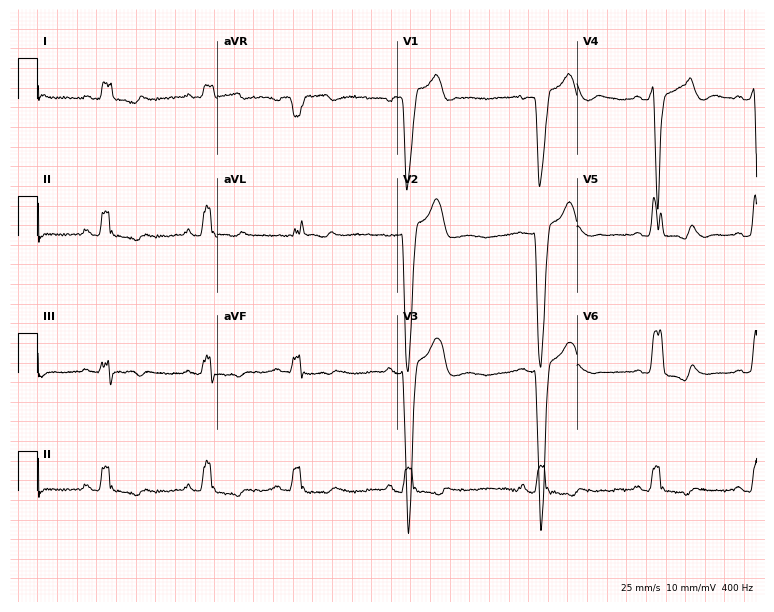
12-lead ECG from a male, 60 years old (7.3-second recording at 400 Hz). Shows left bundle branch block.